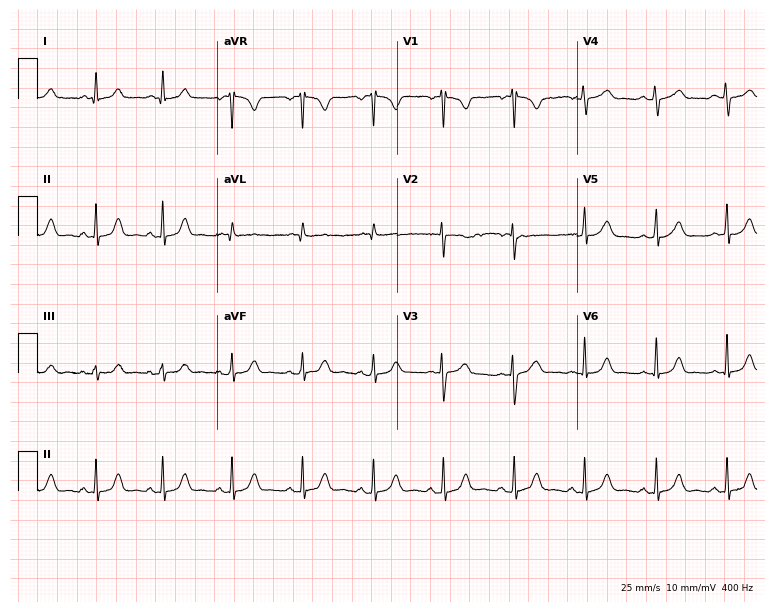
Resting 12-lead electrocardiogram. Patient: a 40-year-old female. Read as a normal ECG.